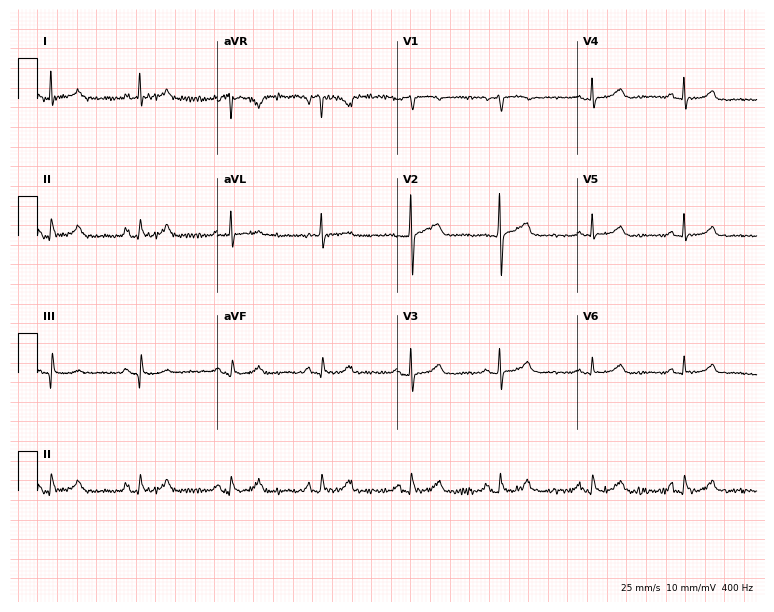
12-lead ECG from a woman, 76 years old (7.3-second recording at 400 Hz). Recorded interpretation: within normal limits.